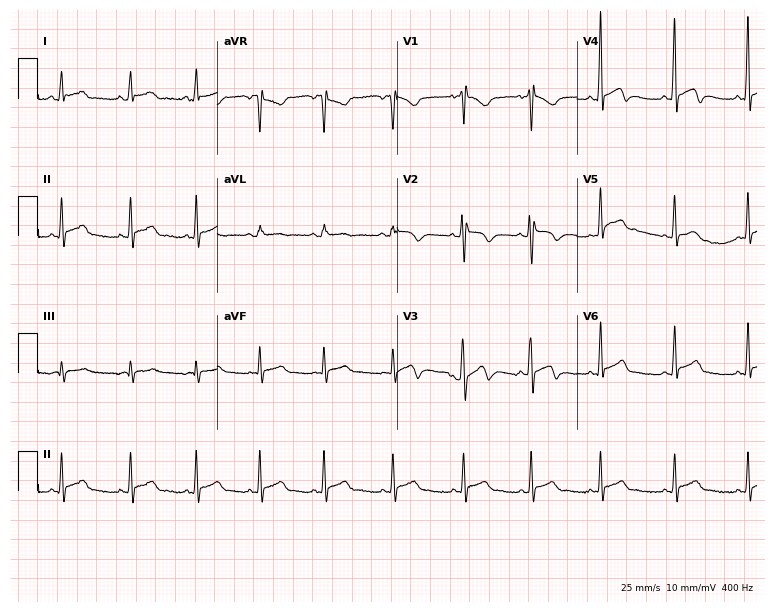
Resting 12-lead electrocardiogram. Patient: a male, 19 years old. None of these six findings is recorded: first-degree AV block, right bundle branch block, left bundle branch block, sinus bradycardia, atrial fibrillation, sinus tachycardia. Only these six findings were labelled.